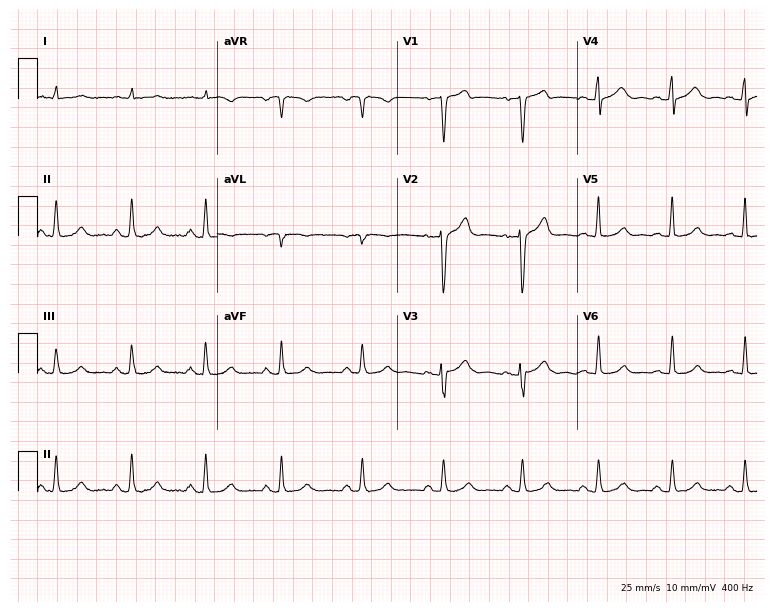
Standard 12-lead ECG recorded from a man, 61 years old. Read as a normal ECG.